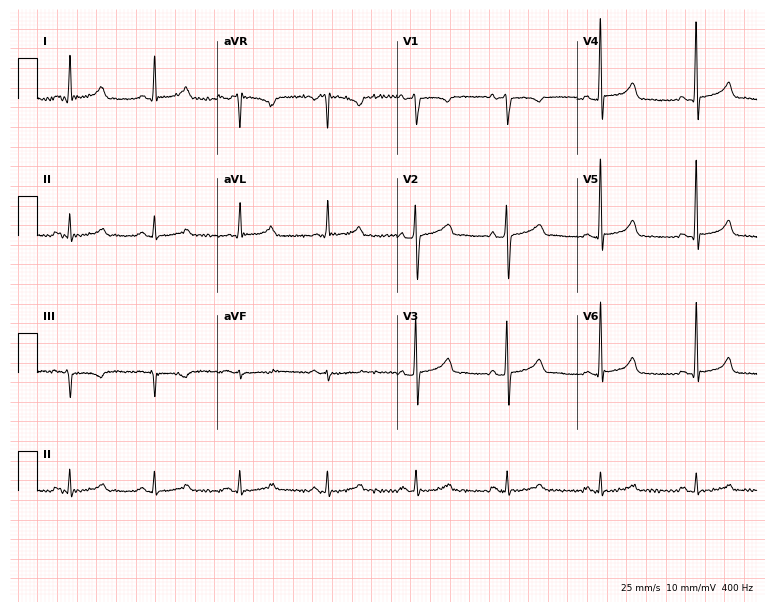
Standard 12-lead ECG recorded from a male, 55 years old (7.3-second recording at 400 Hz). None of these six findings is recorded: first-degree AV block, right bundle branch block (RBBB), left bundle branch block (LBBB), sinus bradycardia, atrial fibrillation (AF), sinus tachycardia. Other findings, if any, are not listed.